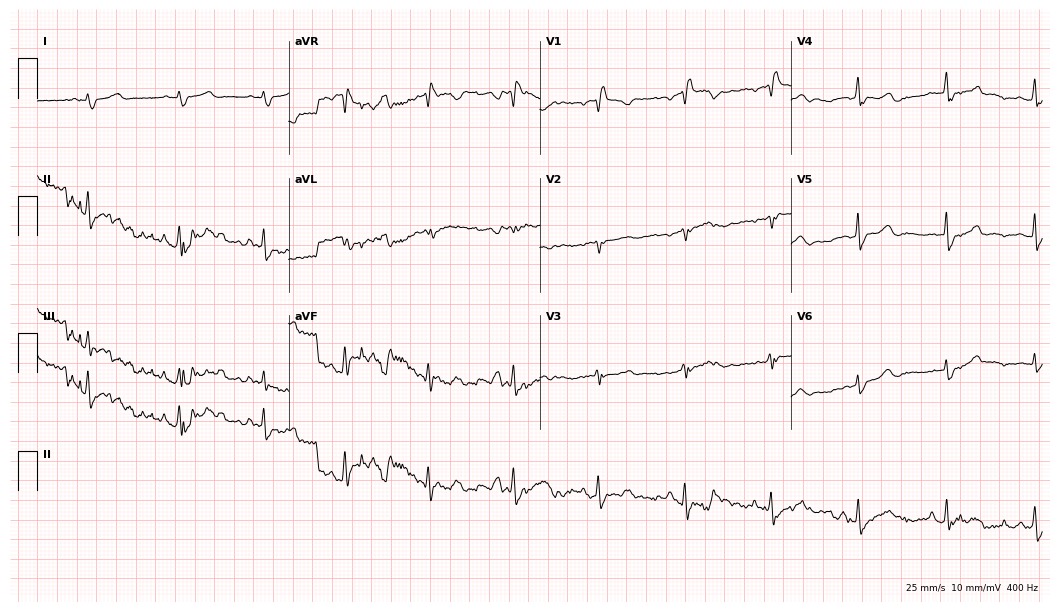
Standard 12-lead ECG recorded from a 60-year-old female patient. None of these six findings is recorded: first-degree AV block, right bundle branch block (RBBB), left bundle branch block (LBBB), sinus bradycardia, atrial fibrillation (AF), sinus tachycardia. Other findings, if any, are not listed.